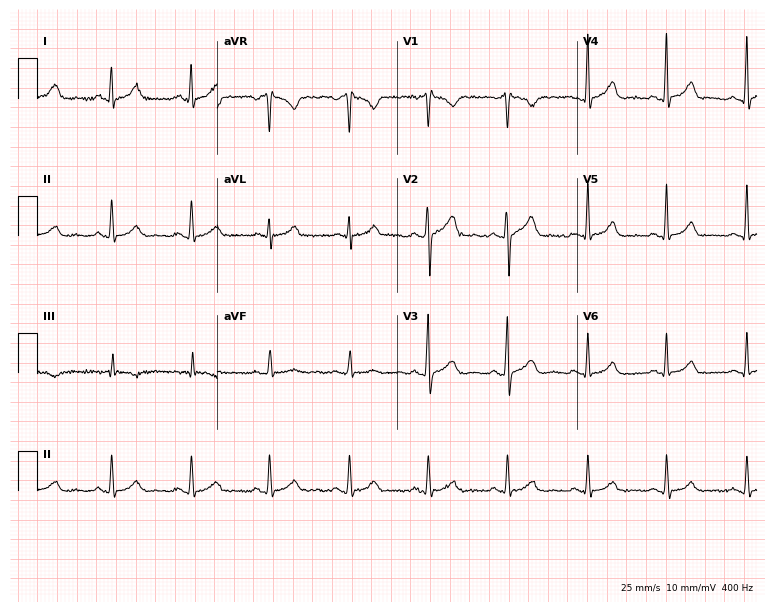
12-lead ECG from a male patient, 35 years old (7.3-second recording at 400 Hz). Recorded interpretation: within normal limits.